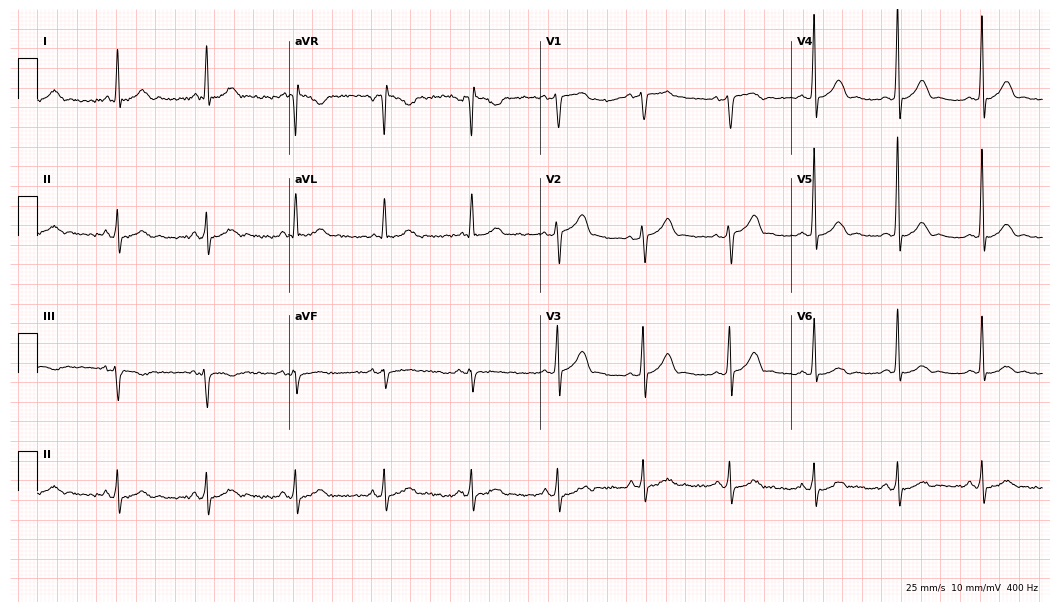
Electrocardiogram, a 67-year-old man. Of the six screened findings (first-degree AV block, right bundle branch block, left bundle branch block, sinus bradycardia, atrial fibrillation, sinus tachycardia), none is recorded. Other findings, if any, are not listed.